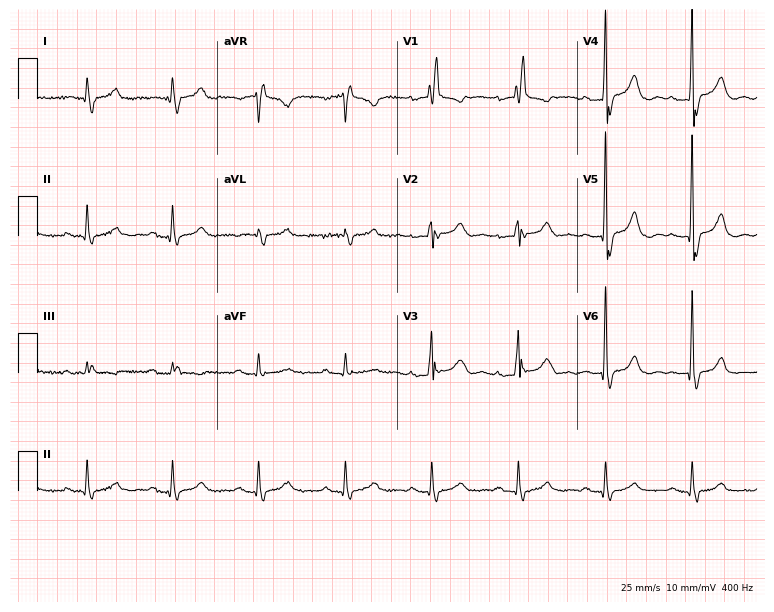
Resting 12-lead electrocardiogram. Patient: an 80-year-old man. None of these six findings is recorded: first-degree AV block, right bundle branch block, left bundle branch block, sinus bradycardia, atrial fibrillation, sinus tachycardia.